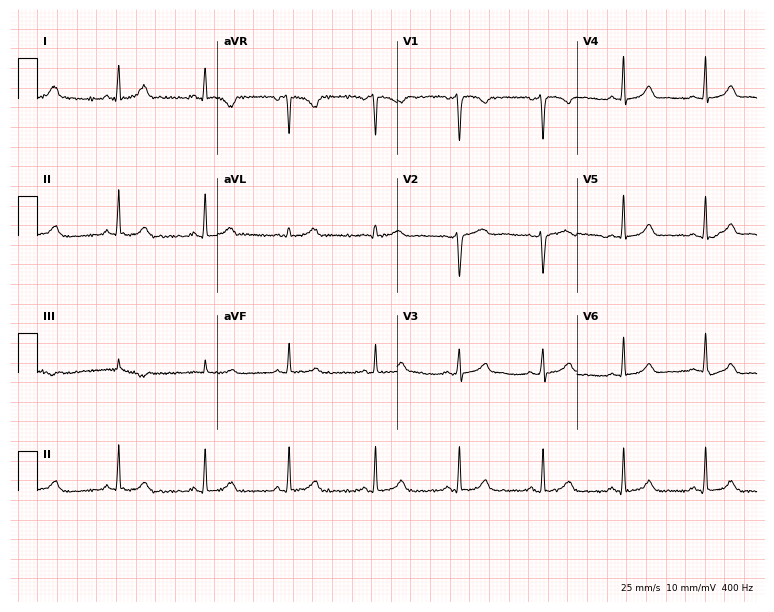
ECG — a female patient, 39 years old. Labelled as a normal ECG.